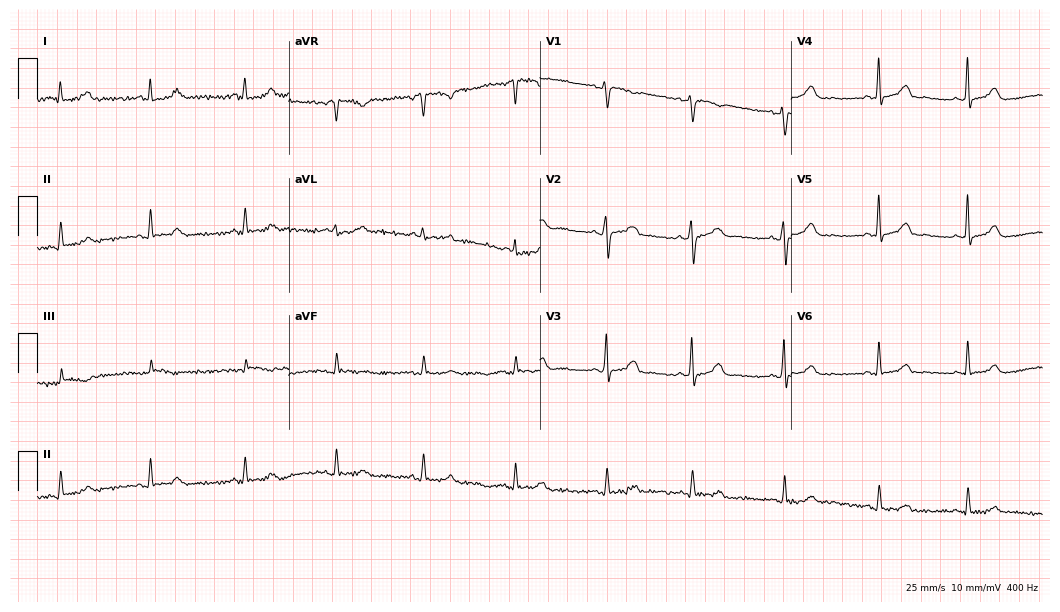
12-lead ECG from a female, 47 years old. Recorded interpretation: within normal limits.